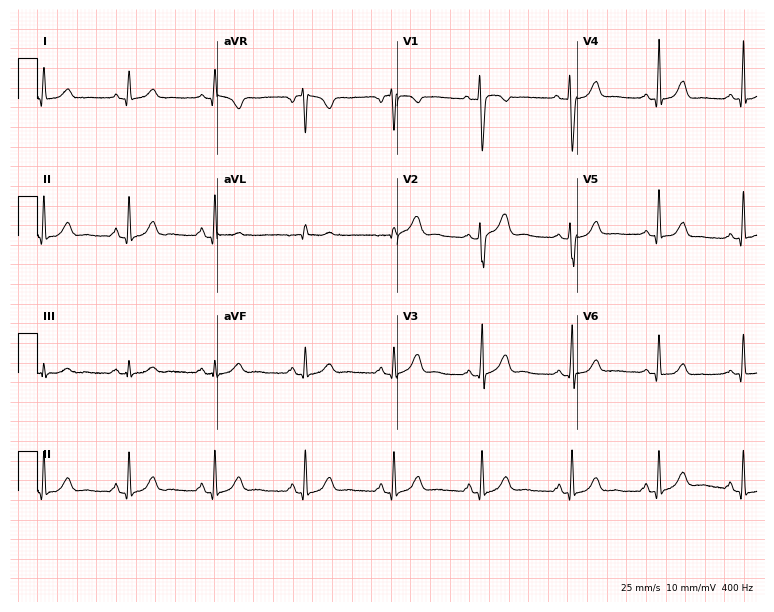
12-lead ECG from a woman, 27 years old. Labelled as a normal ECG.